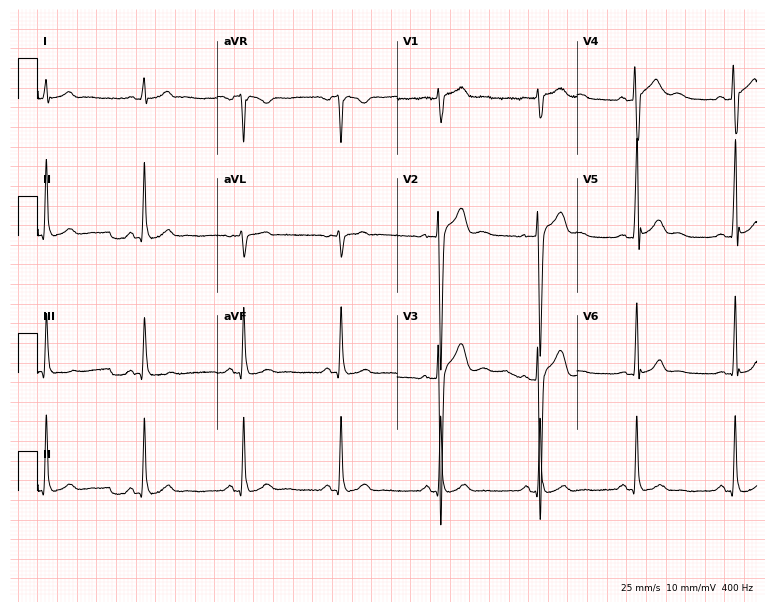
12-lead ECG from a 36-year-old male (7.3-second recording at 400 Hz). Recorded interpretation: within normal limits.